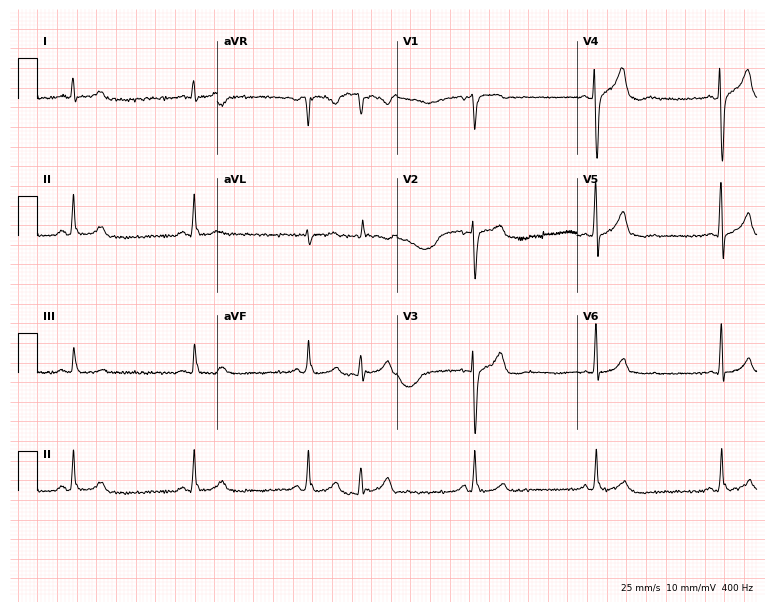
Resting 12-lead electrocardiogram. Patient: a 44-year-old male. None of these six findings is recorded: first-degree AV block, right bundle branch block, left bundle branch block, sinus bradycardia, atrial fibrillation, sinus tachycardia. Findings outside these six are not listed.